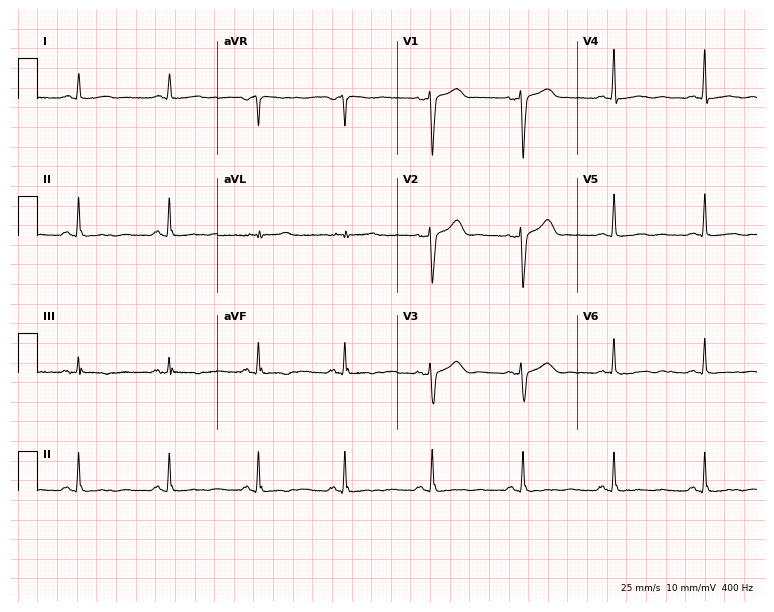
Standard 12-lead ECG recorded from a woman, 54 years old (7.3-second recording at 400 Hz). None of these six findings is recorded: first-degree AV block, right bundle branch block (RBBB), left bundle branch block (LBBB), sinus bradycardia, atrial fibrillation (AF), sinus tachycardia.